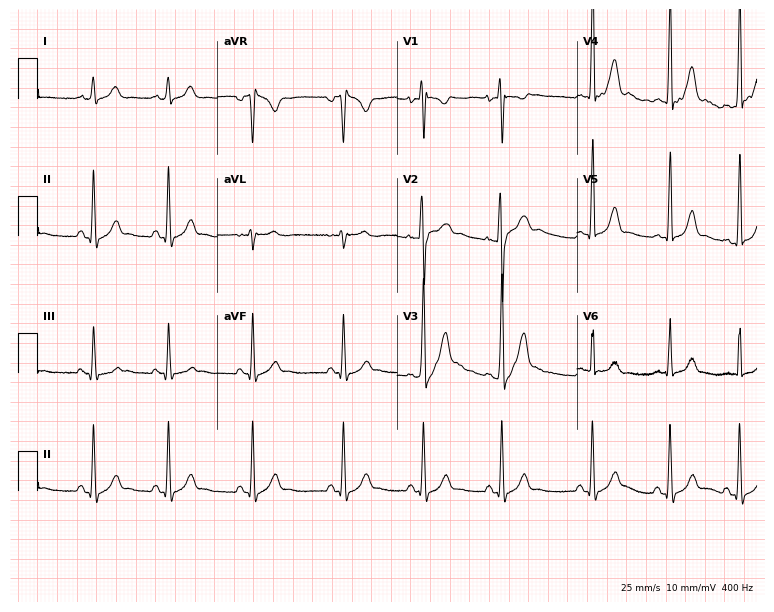
Electrocardiogram (7.3-second recording at 400 Hz), a man, 17 years old. Of the six screened findings (first-degree AV block, right bundle branch block, left bundle branch block, sinus bradycardia, atrial fibrillation, sinus tachycardia), none is recorded. Other findings, if any, are not listed.